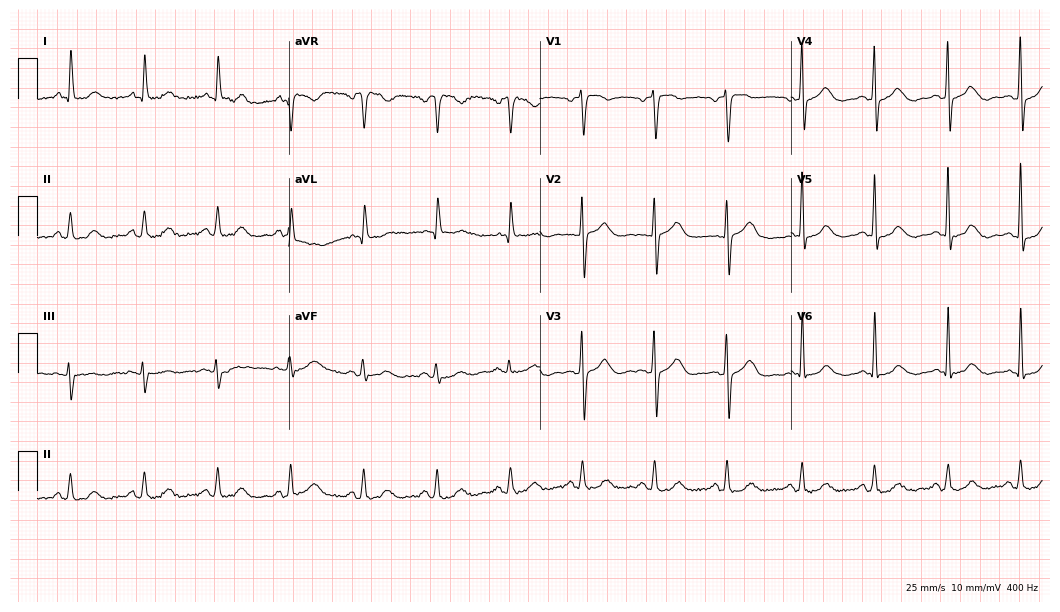
Resting 12-lead electrocardiogram. Patient: a man, 78 years old. Read as a normal ECG.